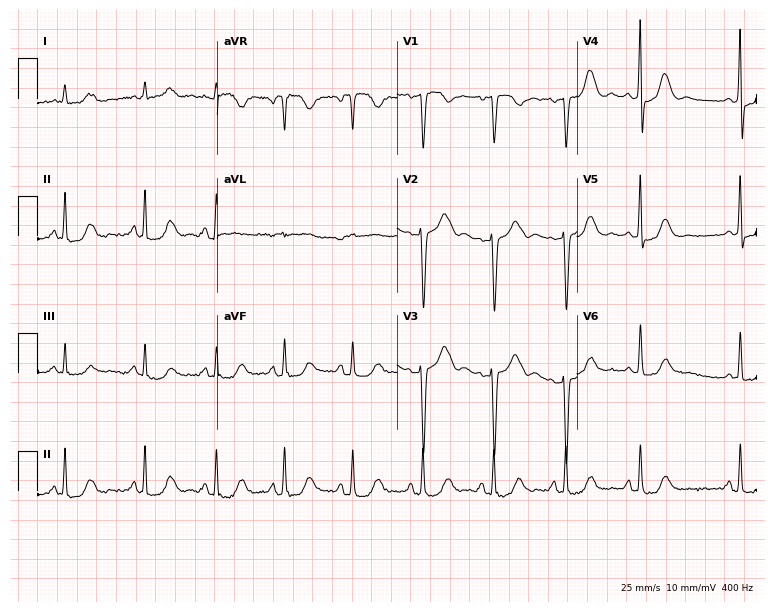
12-lead ECG (7.3-second recording at 400 Hz) from a 65-year-old female patient. Screened for six findings — first-degree AV block, right bundle branch block, left bundle branch block, sinus bradycardia, atrial fibrillation, sinus tachycardia — none is recorded.